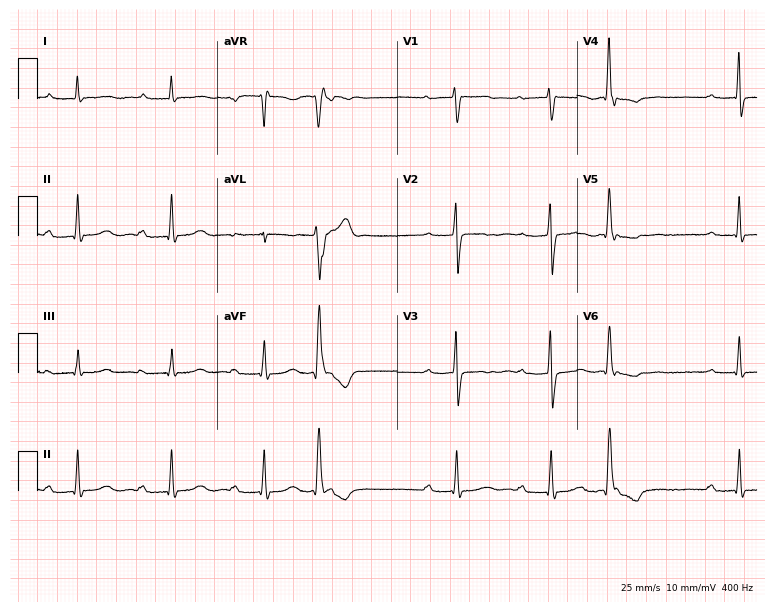
Standard 12-lead ECG recorded from a woman, 58 years old. The tracing shows first-degree AV block.